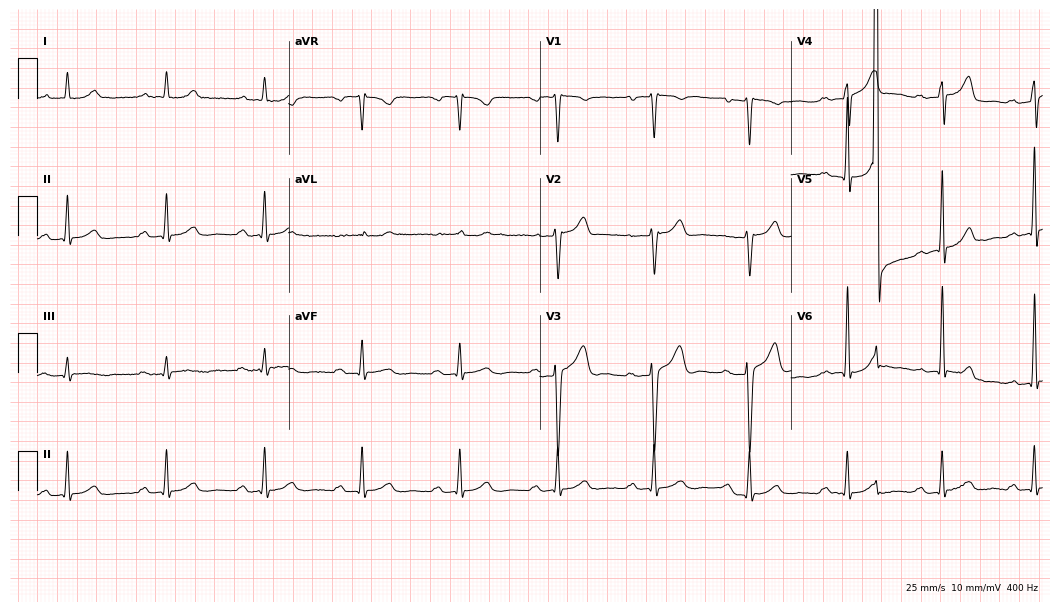
12-lead ECG (10.2-second recording at 400 Hz) from a 56-year-old female patient. Findings include first-degree AV block.